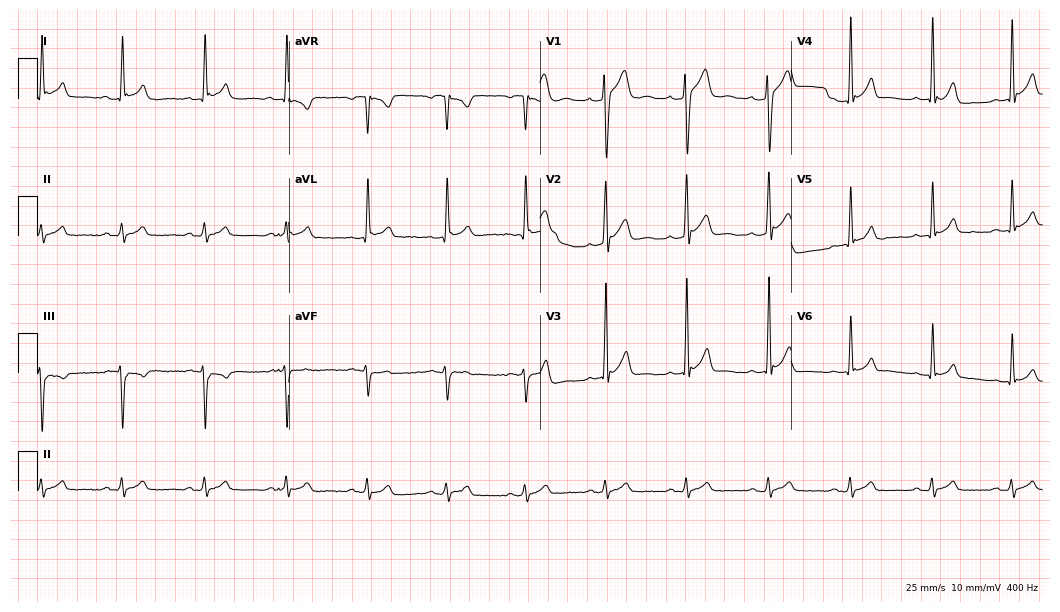
12-lead ECG from a 21-year-old man. No first-degree AV block, right bundle branch block, left bundle branch block, sinus bradycardia, atrial fibrillation or sinus tachycardia recorded for this tracing. Findings outside these six are not listed.